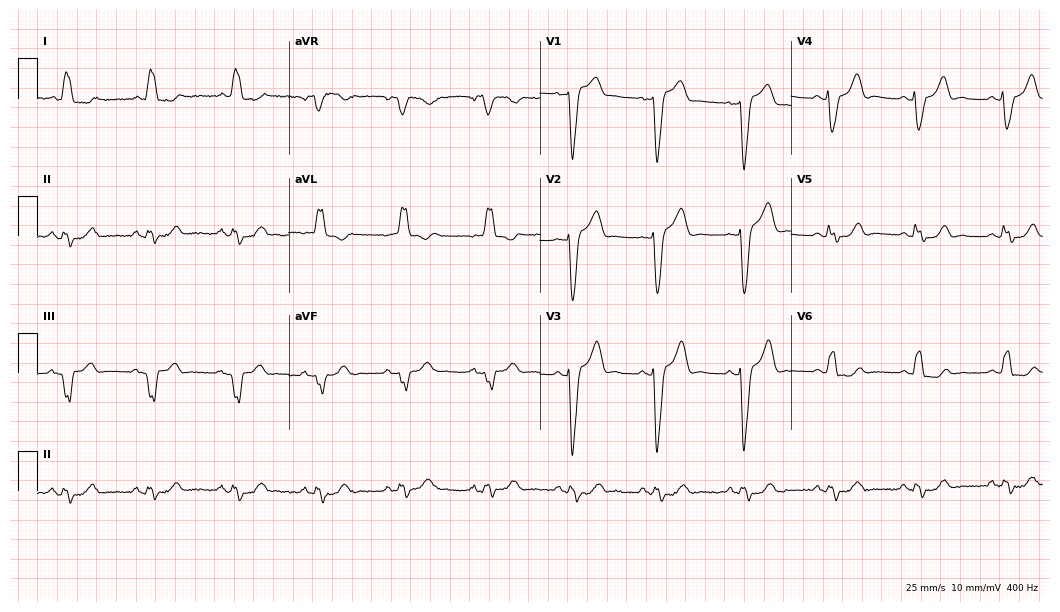
12-lead ECG from an 81-year-old female patient. Shows left bundle branch block (LBBB).